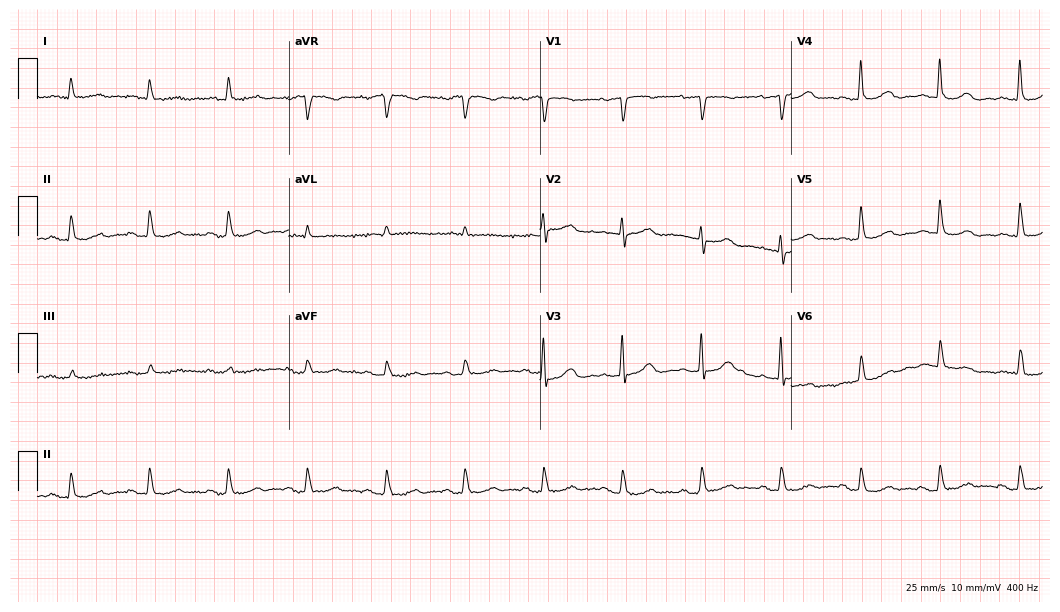
Electrocardiogram, a 72-year-old woman. Of the six screened findings (first-degree AV block, right bundle branch block (RBBB), left bundle branch block (LBBB), sinus bradycardia, atrial fibrillation (AF), sinus tachycardia), none is recorded. Only these six findings were labelled.